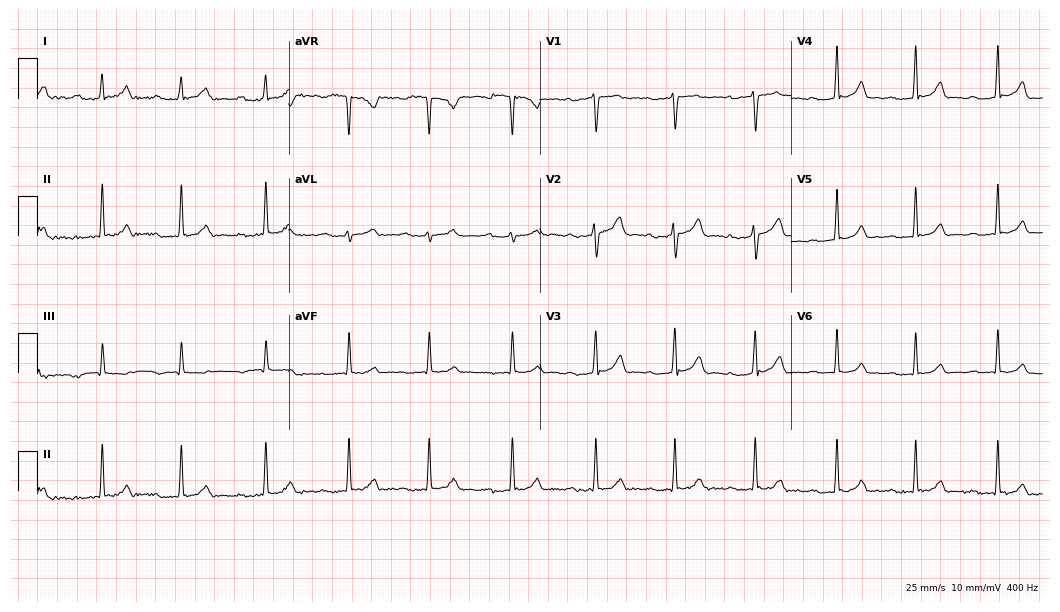
12-lead ECG from a 33-year-old female. Shows first-degree AV block.